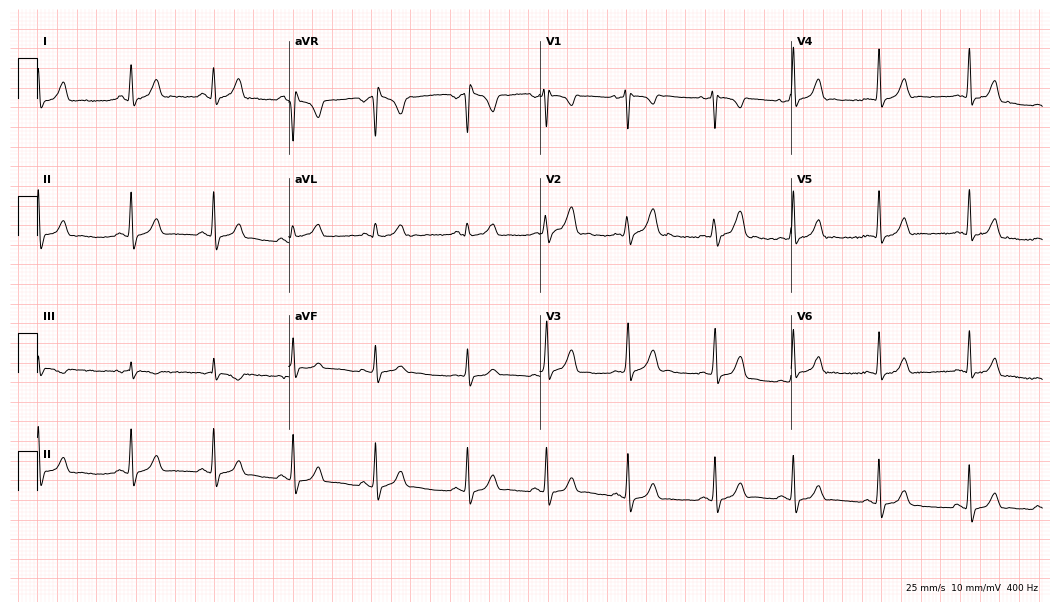
Resting 12-lead electrocardiogram. Patient: a woman, 22 years old. None of these six findings is recorded: first-degree AV block, right bundle branch block, left bundle branch block, sinus bradycardia, atrial fibrillation, sinus tachycardia.